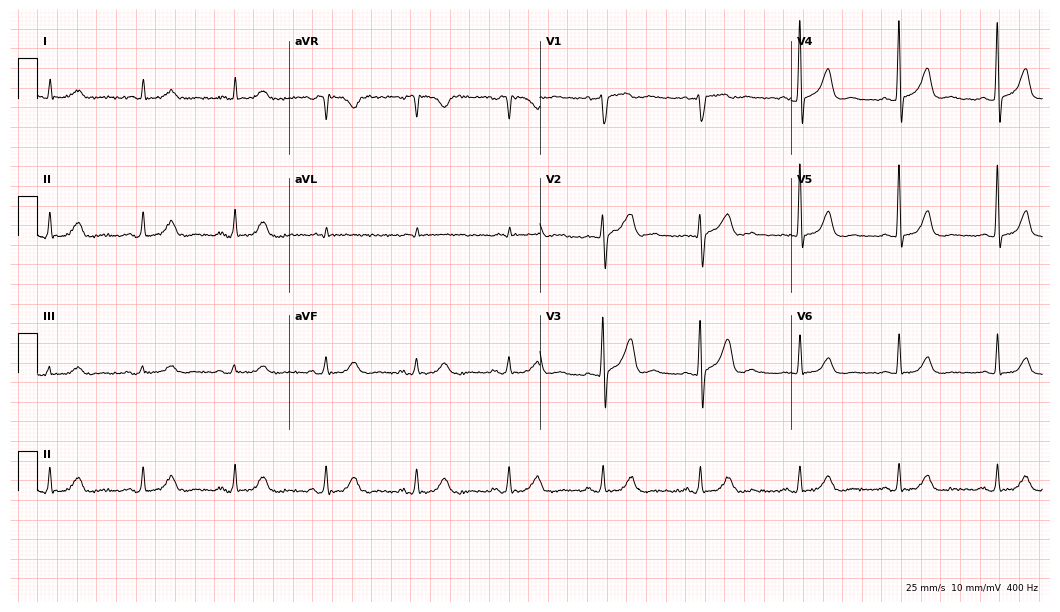
Electrocardiogram (10.2-second recording at 400 Hz), a 77-year-old man. Overall reading on record: normal ECG.